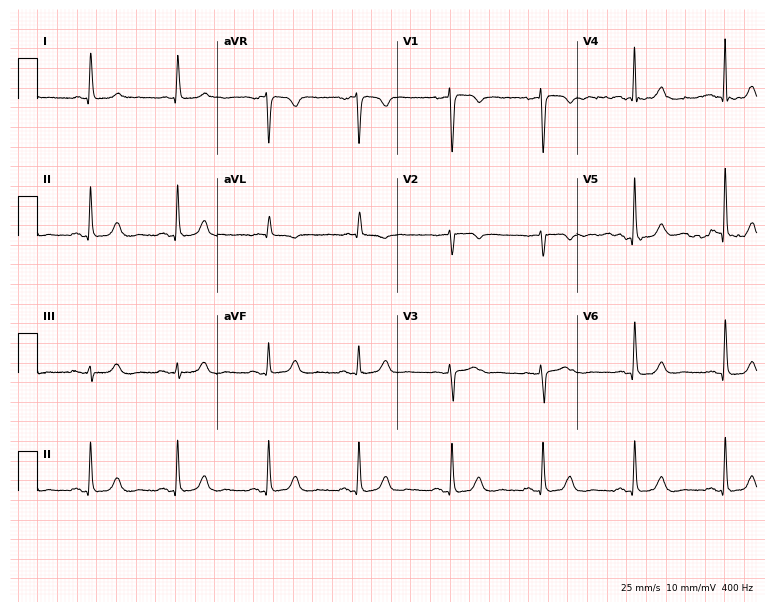
Electrocardiogram (7.3-second recording at 400 Hz), a woman, 68 years old. Of the six screened findings (first-degree AV block, right bundle branch block, left bundle branch block, sinus bradycardia, atrial fibrillation, sinus tachycardia), none is recorded. Only these six findings were labelled.